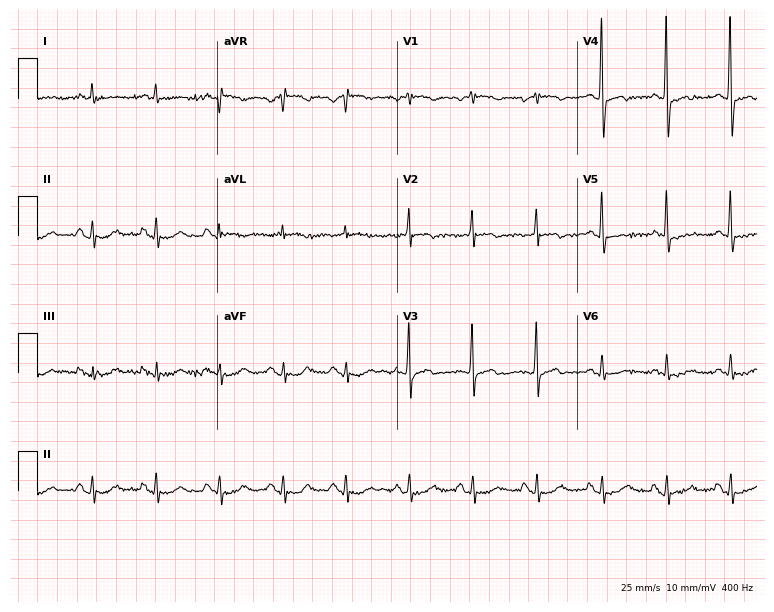
Electrocardiogram (7.3-second recording at 400 Hz), a 77-year-old man. Of the six screened findings (first-degree AV block, right bundle branch block, left bundle branch block, sinus bradycardia, atrial fibrillation, sinus tachycardia), none is recorded. Findings outside these six are not listed.